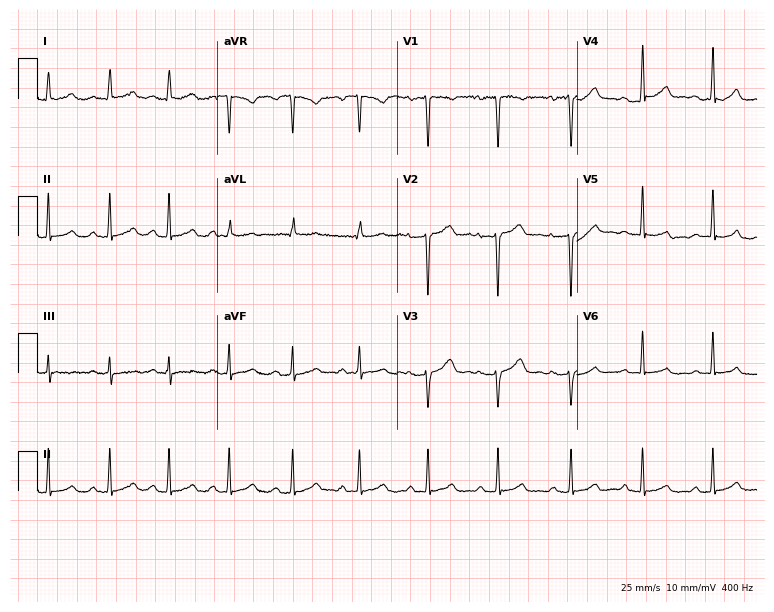
ECG — a 25-year-old female patient. Screened for six findings — first-degree AV block, right bundle branch block, left bundle branch block, sinus bradycardia, atrial fibrillation, sinus tachycardia — none is recorded.